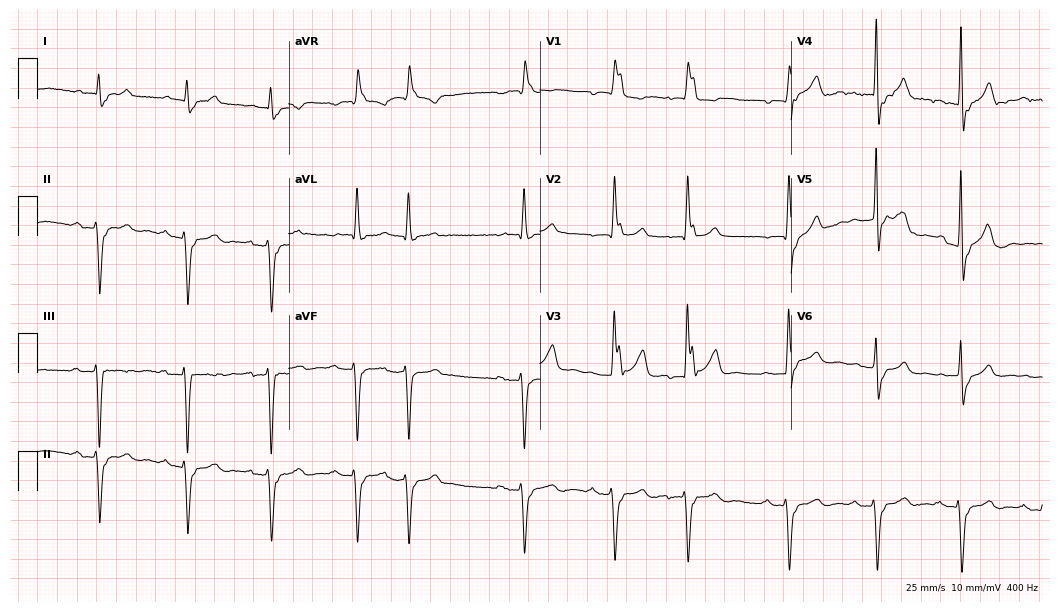
Resting 12-lead electrocardiogram. Patient: a male, 82 years old. The tracing shows right bundle branch block (RBBB).